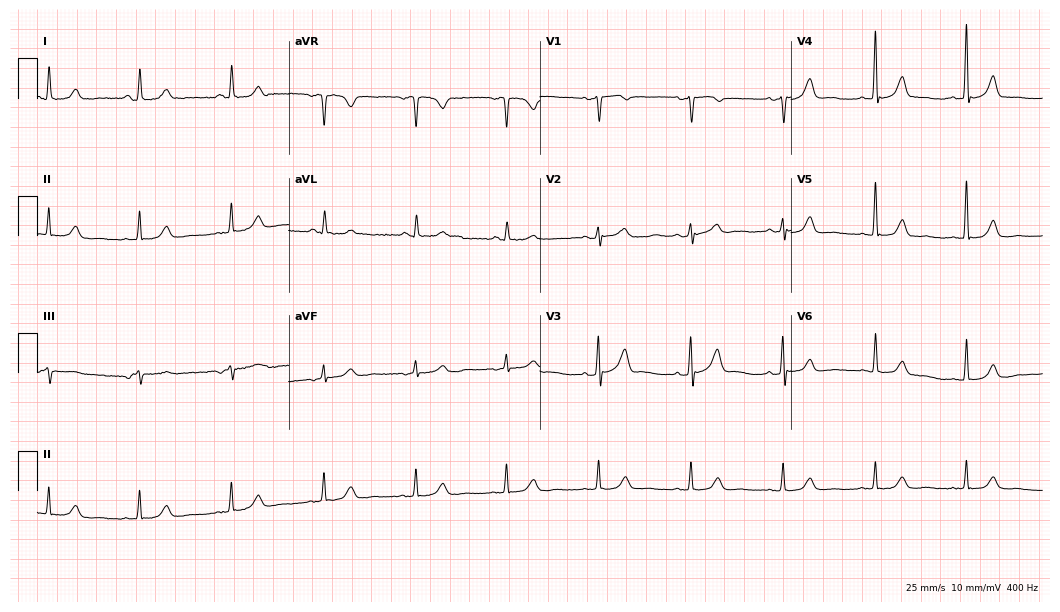
Standard 12-lead ECG recorded from a 72-year-old woman (10.2-second recording at 400 Hz). Read as a normal ECG.